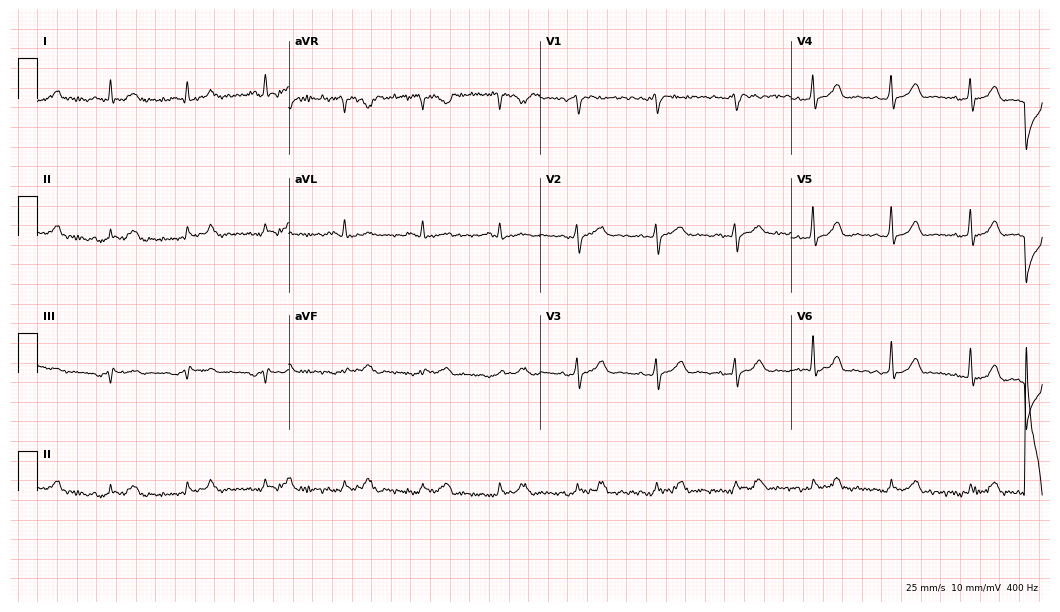
Resting 12-lead electrocardiogram. Patient: a 74-year-old male. Read as a normal ECG.